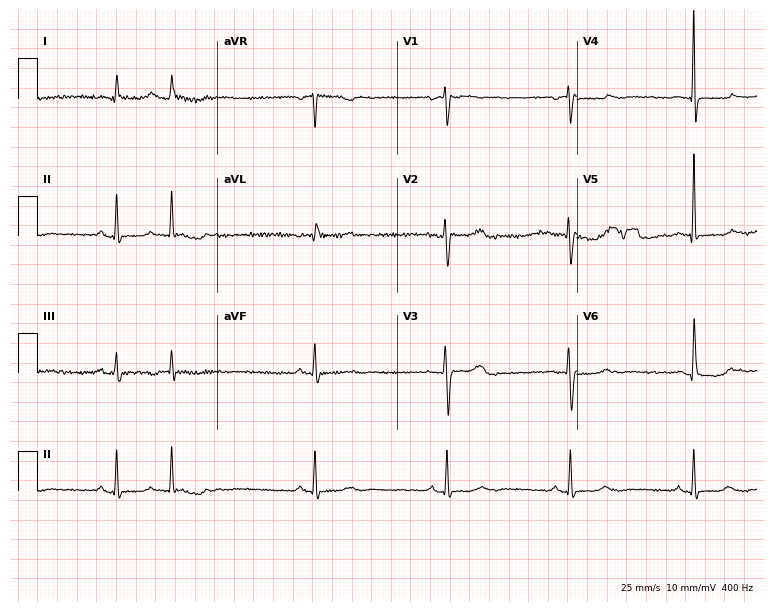
12-lead ECG from a female patient, 80 years old (7.3-second recording at 400 Hz). No first-degree AV block, right bundle branch block, left bundle branch block, sinus bradycardia, atrial fibrillation or sinus tachycardia recorded for this tracing.